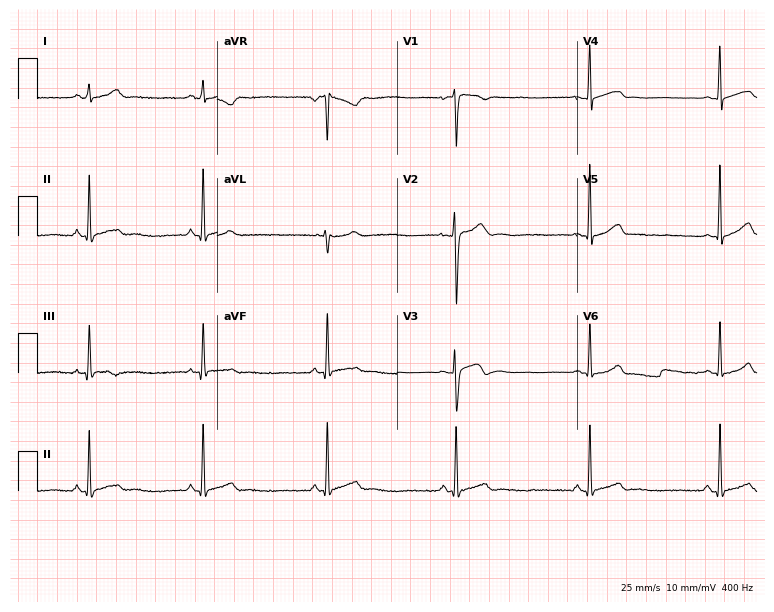
Electrocardiogram (7.3-second recording at 400 Hz), a male patient, 18 years old. Interpretation includes sinus bradycardia (a sinus rate of 50 beats per minute or less).